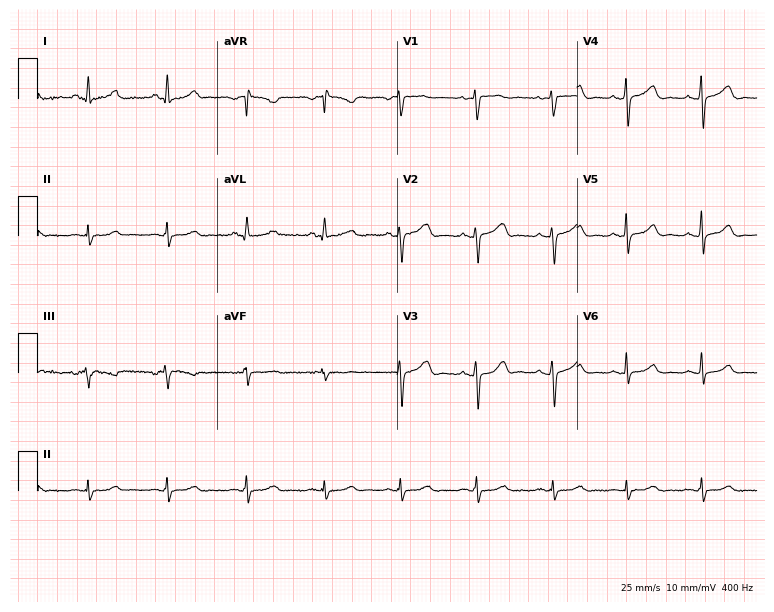
ECG (7.3-second recording at 400 Hz) — a 41-year-old female. Labelled as a normal ECG.